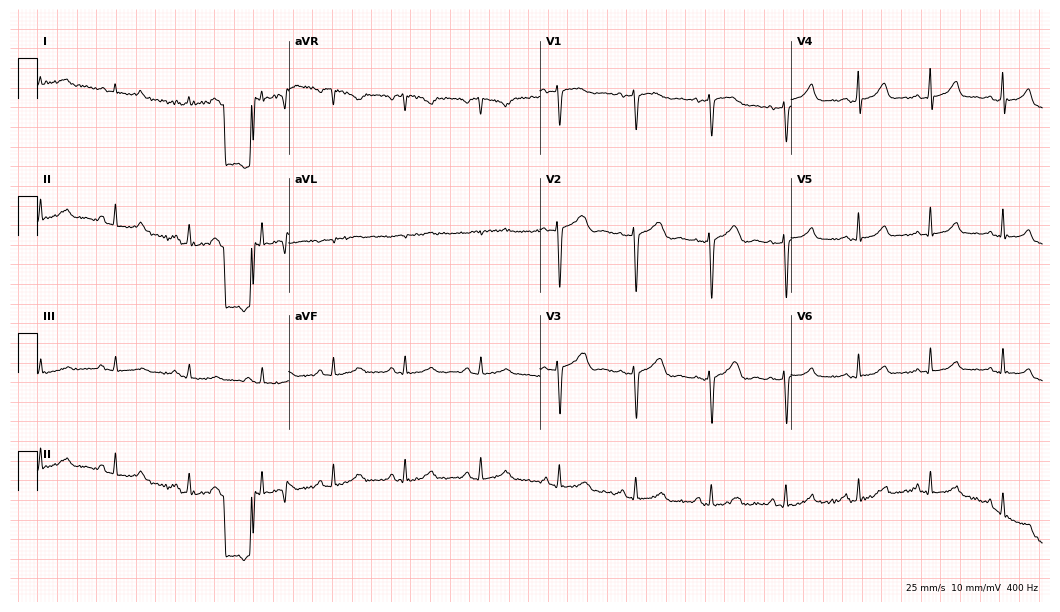
ECG — a 37-year-old female patient. Screened for six findings — first-degree AV block, right bundle branch block (RBBB), left bundle branch block (LBBB), sinus bradycardia, atrial fibrillation (AF), sinus tachycardia — none is recorded.